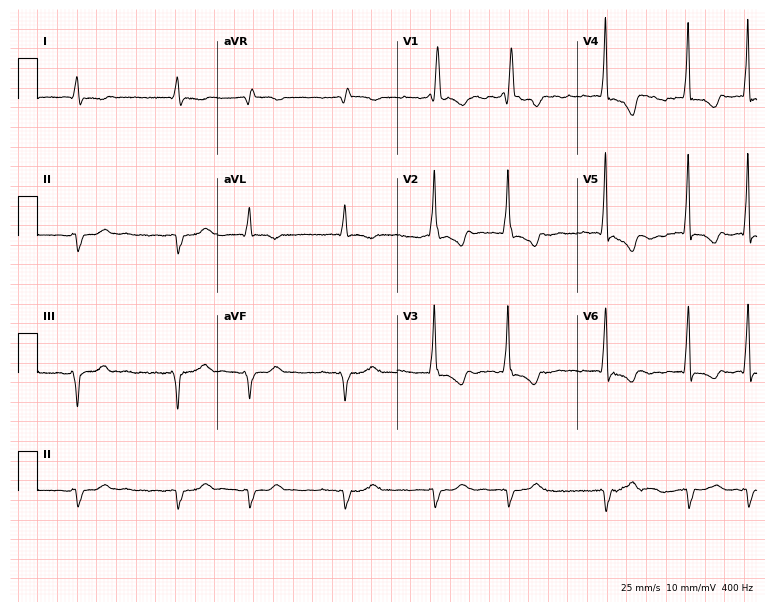
ECG — a man, 81 years old. Findings include right bundle branch block, atrial fibrillation.